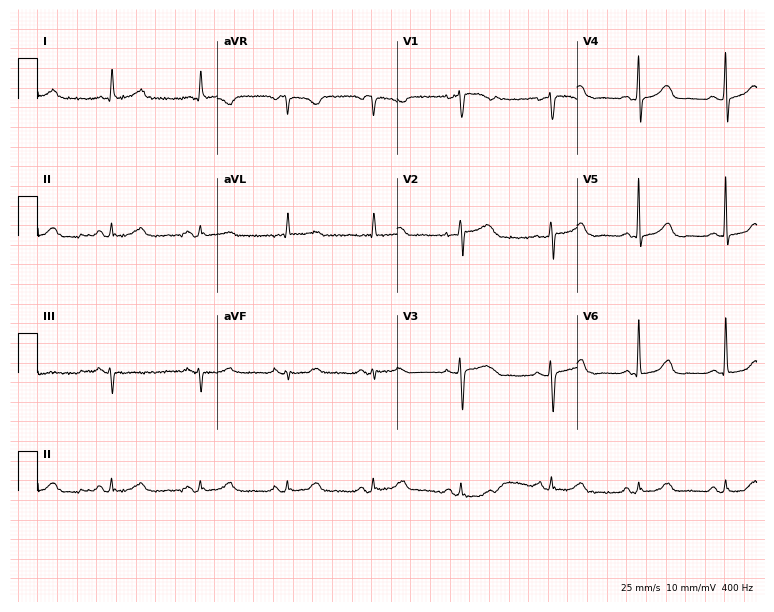
Standard 12-lead ECG recorded from a female patient, 71 years old. Read as a normal ECG.